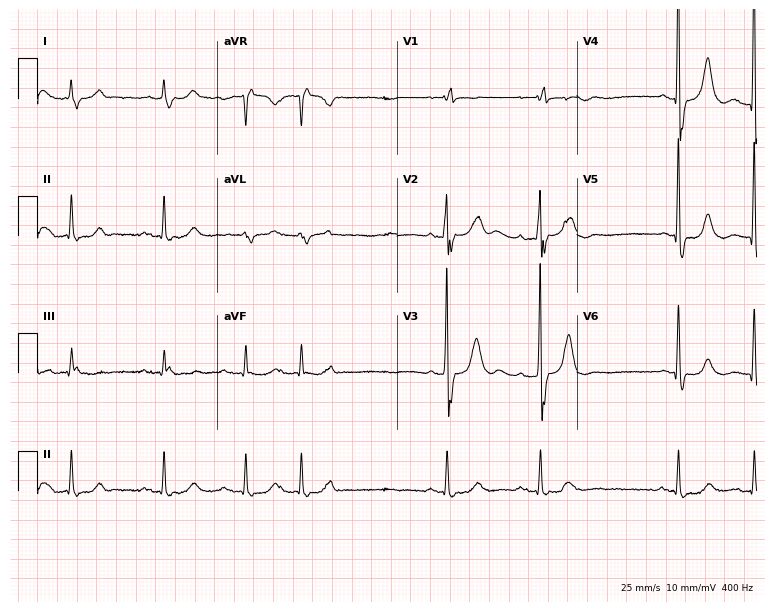
12-lead ECG (7.3-second recording at 400 Hz) from a male patient, 85 years old. Screened for six findings — first-degree AV block, right bundle branch block, left bundle branch block, sinus bradycardia, atrial fibrillation, sinus tachycardia — none is recorded.